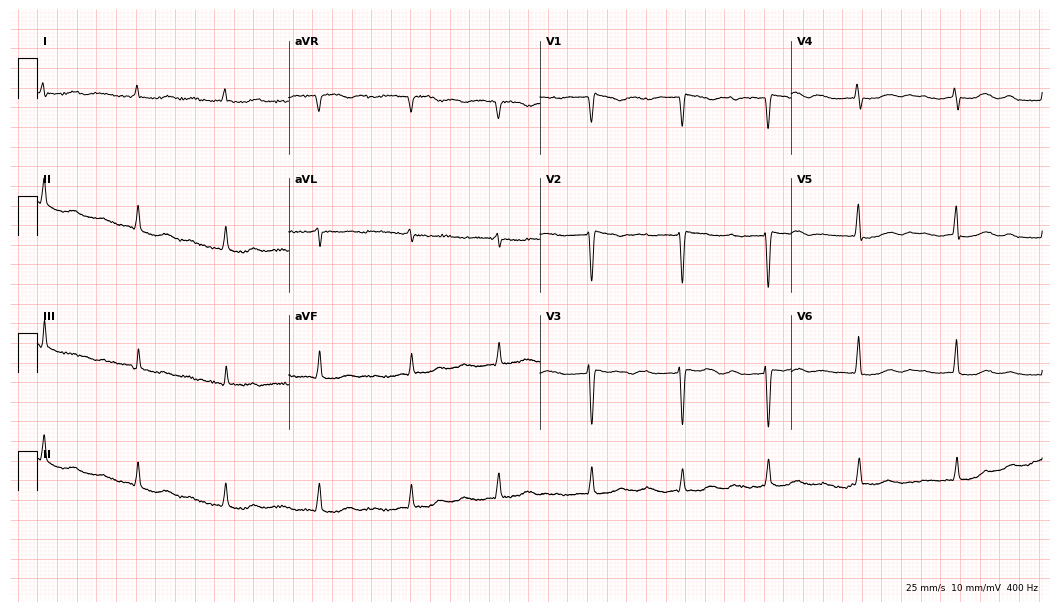
12-lead ECG (10.2-second recording at 400 Hz) from an 80-year-old female patient. Findings include first-degree AV block.